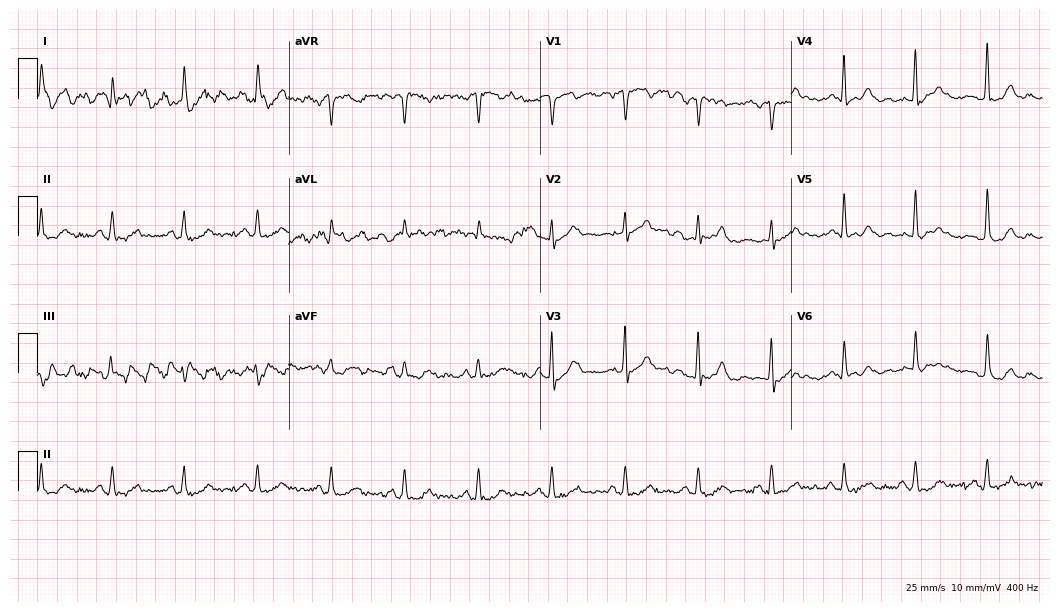
Standard 12-lead ECG recorded from a male, 67 years old. Read as a normal ECG.